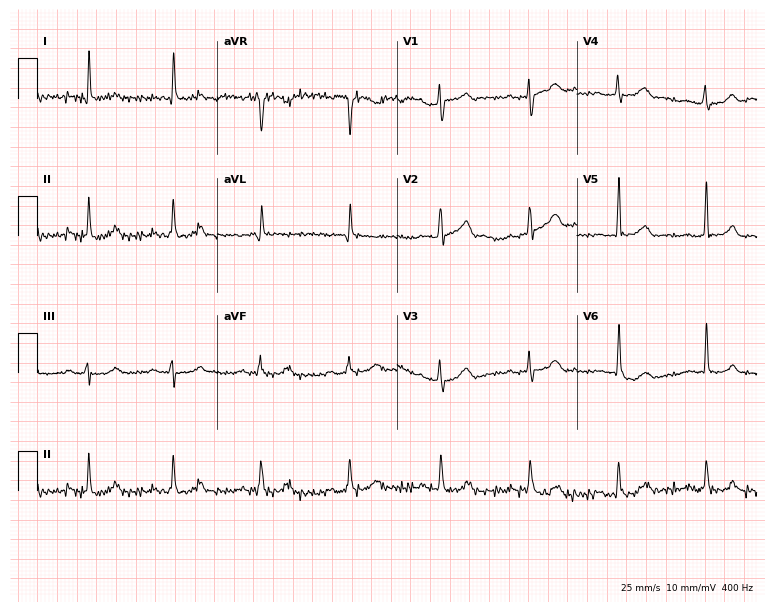
Standard 12-lead ECG recorded from a female, 77 years old (7.3-second recording at 400 Hz). Read as a normal ECG.